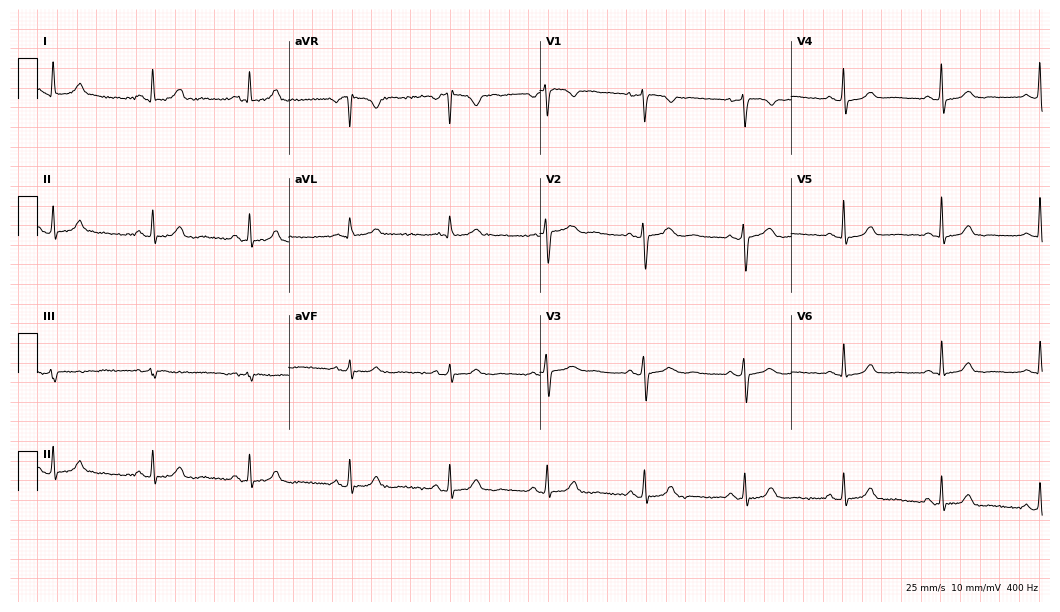
12-lead ECG from a 47-year-old female (10.2-second recording at 400 Hz). Recorded interpretation: within normal limits.